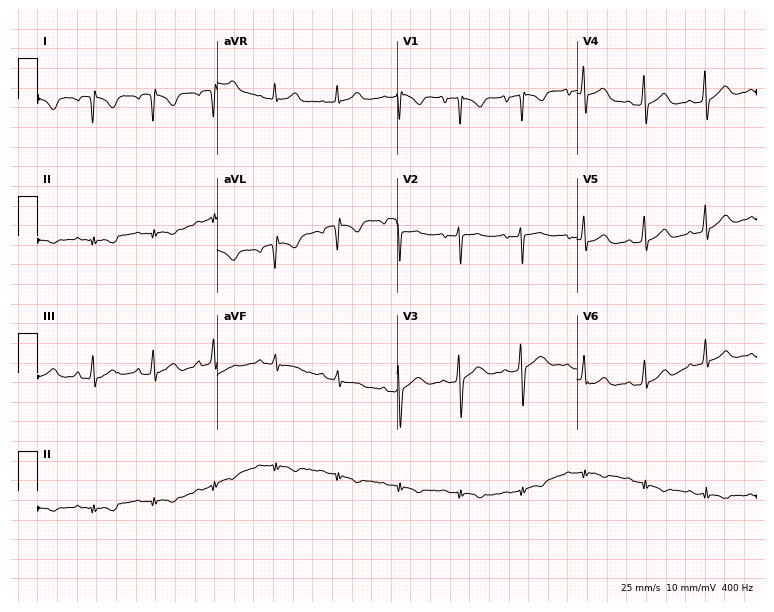
12-lead ECG from a 30-year-old woman (7.3-second recording at 400 Hz). No first-degree AV block, right bundle branch block, left bundle branch block, sinus bradycardia, atrial fibrillation or sinus tachycardia recorded for this tracing.